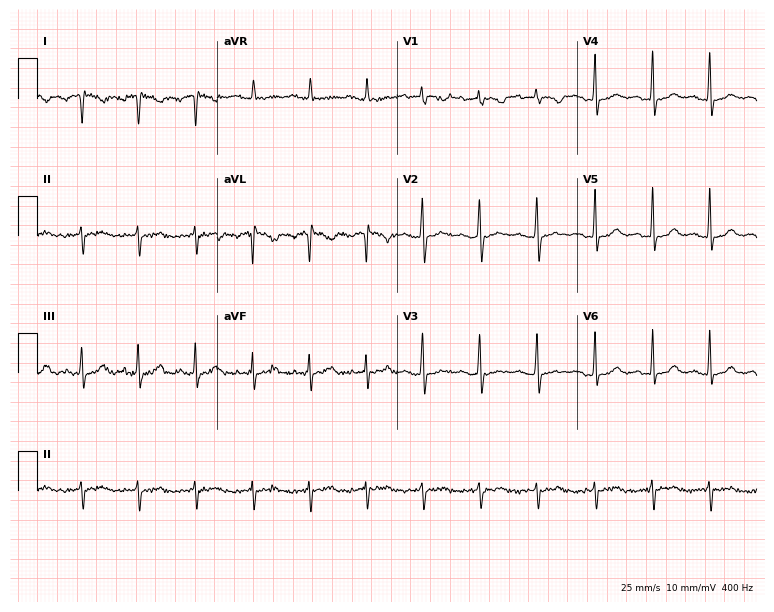
Electrocardiogram (7.3-second recording at 400 Hz), a 32-year-old woman. Of the six screened findings (first-degree AV block, right bundle branch block, left bundle branch block, sinus bradycardia, atrial fibrillation, sinus tachycardia), none is recorded.